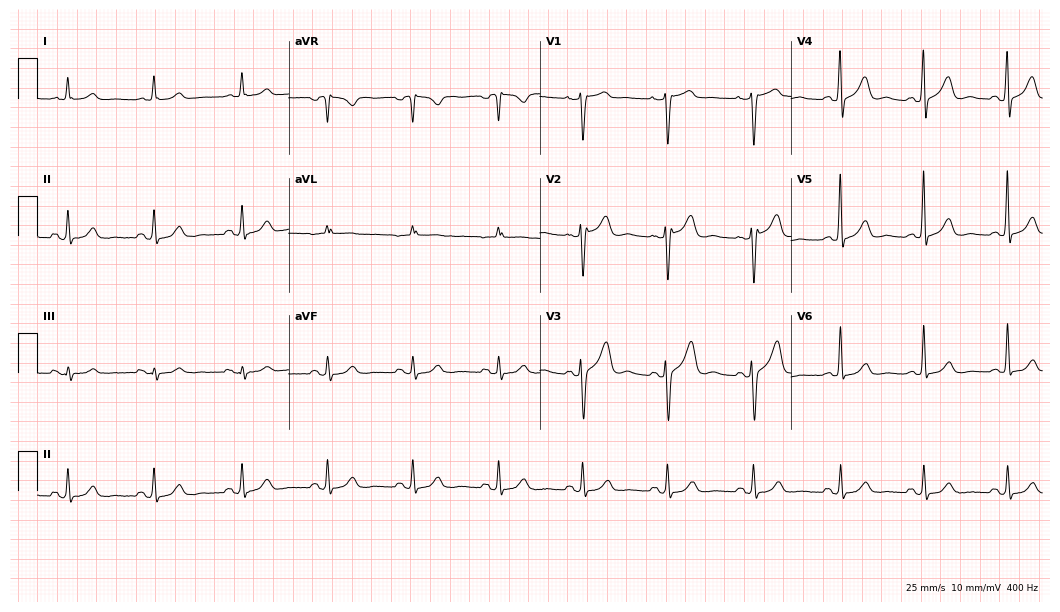
12-lead ECG from a 51-year-old female patient. No first-degree AV block, right bundle branch block, left bundle branch block, sinus bradycardia, atrial fibrillation or sinus tachycardia recorded for this tracing. Only these six findings were labelled.